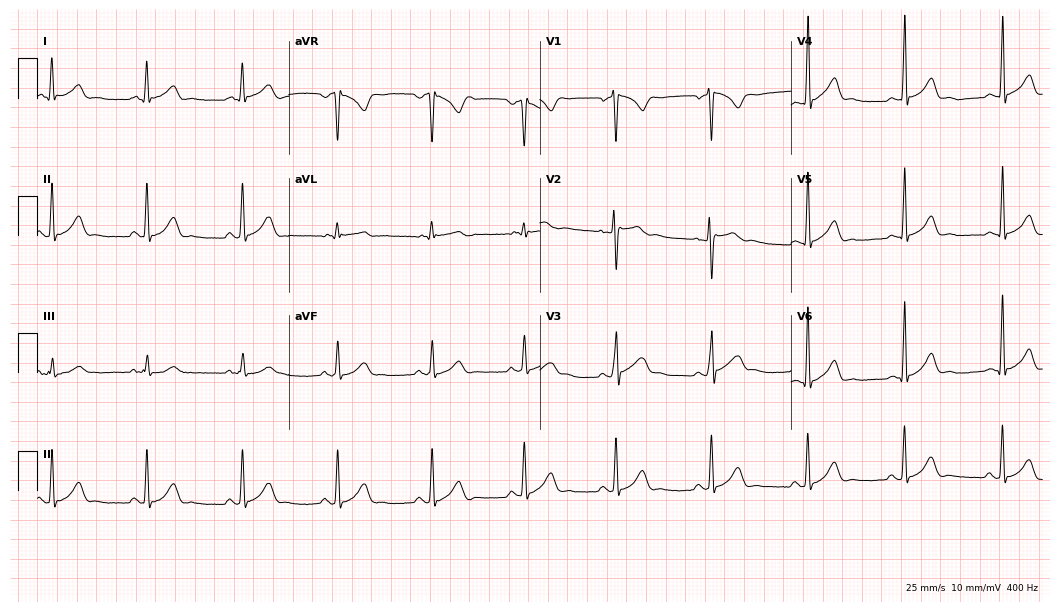
12-lead ECG from a 30-year-old male patient (10.2-second recording at 400 Hz). Recorded interpretation: within normal limits.